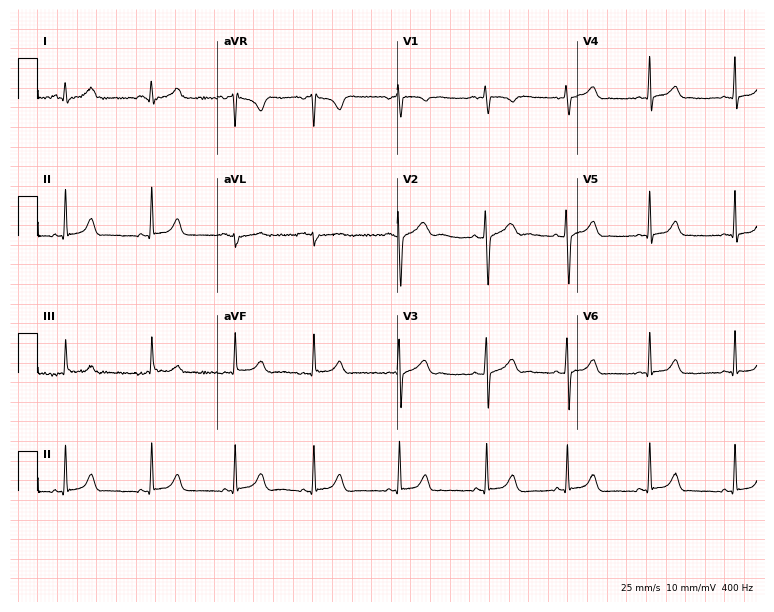
Standard 12-lead ECG recorded from an 18-year-old woman (7.3-second recording at 400 Hz). Read as a normal ECG.